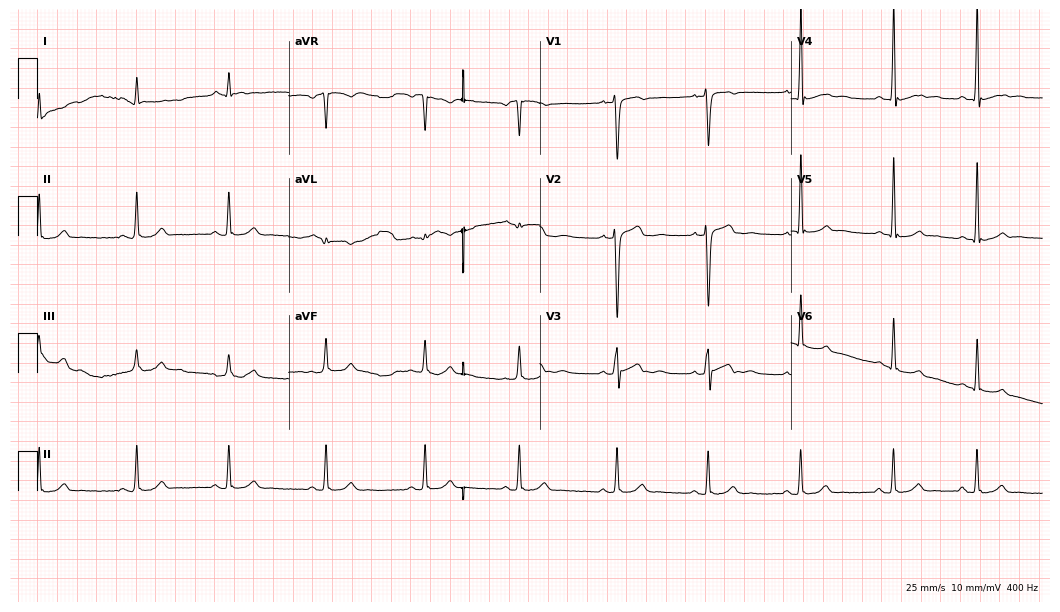
12-lead ECG from a male patient, 17 years old. No first-degree AV block, right bundle branch block, left bundle branch block, sinus bradycardia, atrial fibrillation or sinus tachycardia recorded for this tracing.